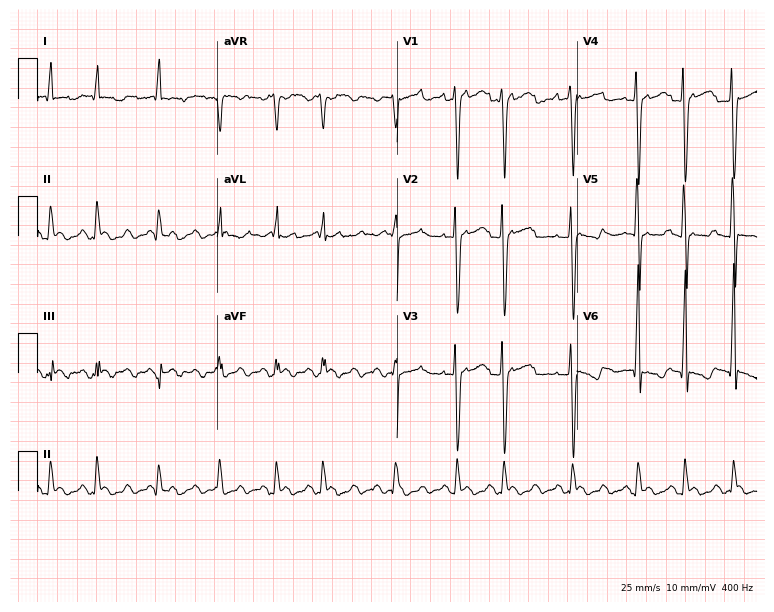
12-lead ECG from a man, 72 years old (7.3-second recording at 400 Hz). No first-degree AV block, right bundle branch block, left bundle branch block, sinus bradycardia, atrial fibrillation or sinus tachycardia recorded for this tracing.